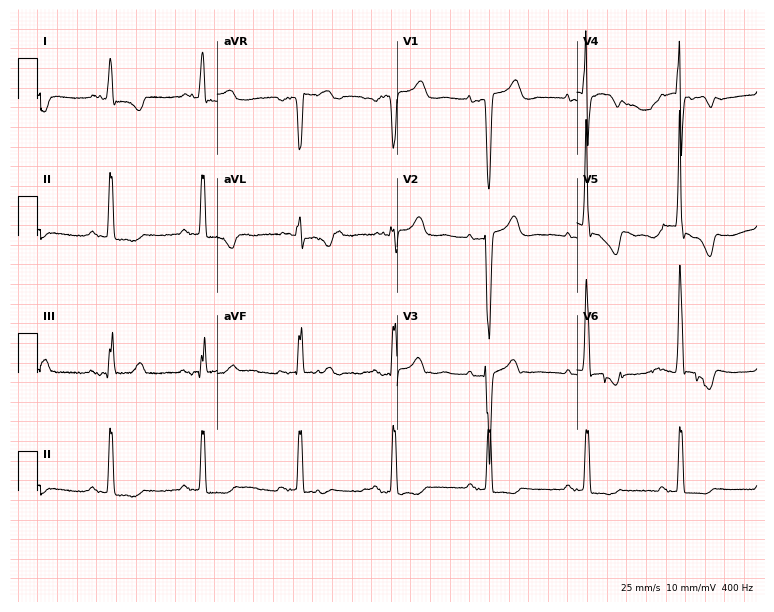
Resting 12-lead electrocardiogram. Patient: a female, 81 years old. None of these six findings is recorded: first-degree AV block, right bundle branch block, left bundle branch block, sinus bradycardia, atrial fibrillation, sinus tachycardia. Only these six findings were labelled.